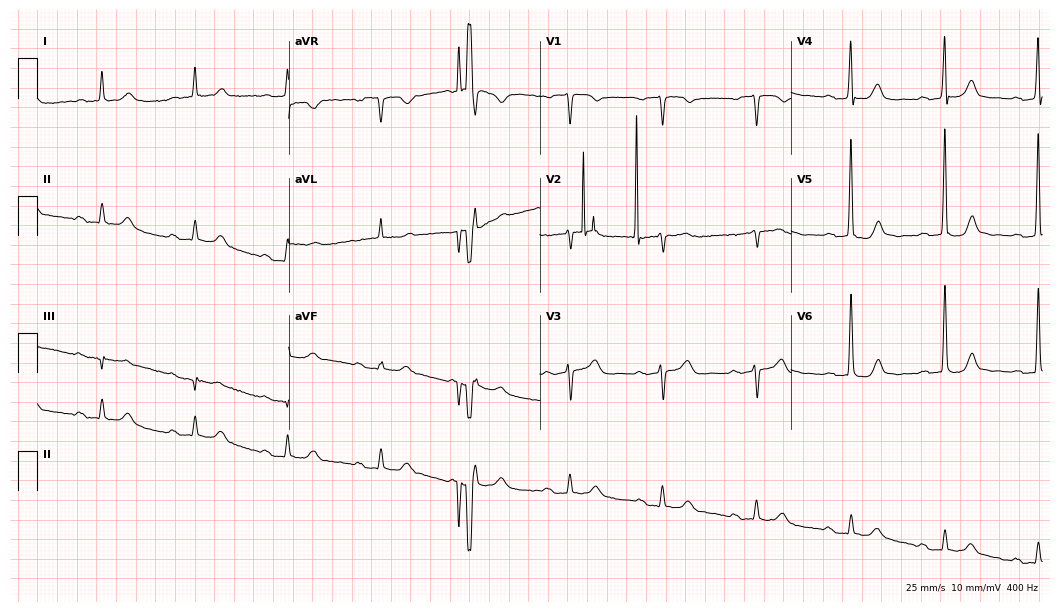
Electrocardiogram, a 79-year-old male patient. Interpretation includes first-degree AV block.